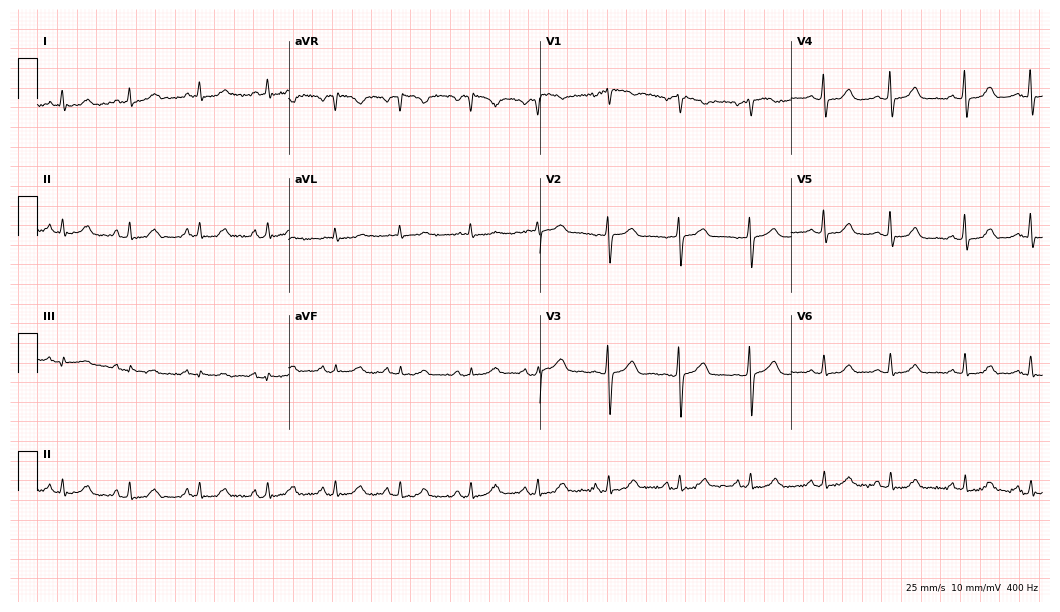
Electrocardiogram, a 71-year-old female. Overall reading on record: normal ECG.